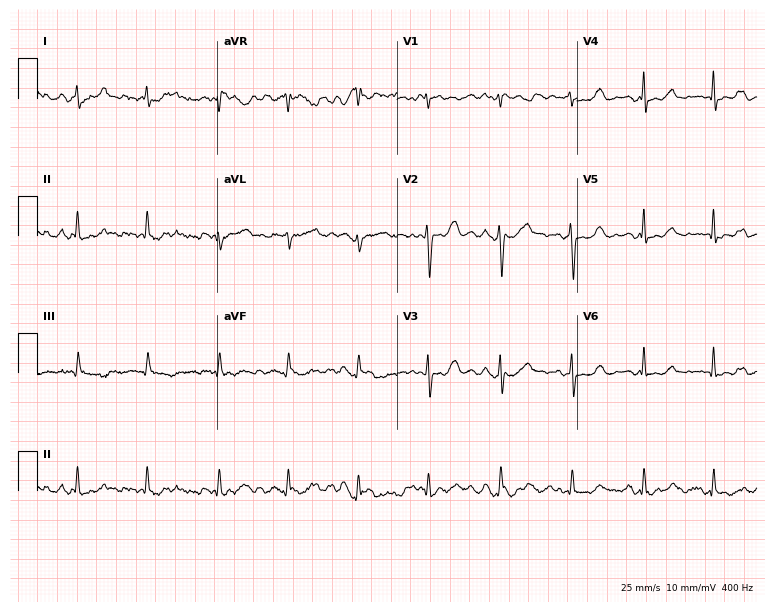
12-lead ECG (7.3-second recording at 400 Hz) from an 84-year-old woman. Screened for six findings — first-degree AV block, right bundle branch block, left bundle branch block, sinus bradycardia, atrial fibrillation, sinus tachycardia — none is recorded. Findings outside these six are not listed.